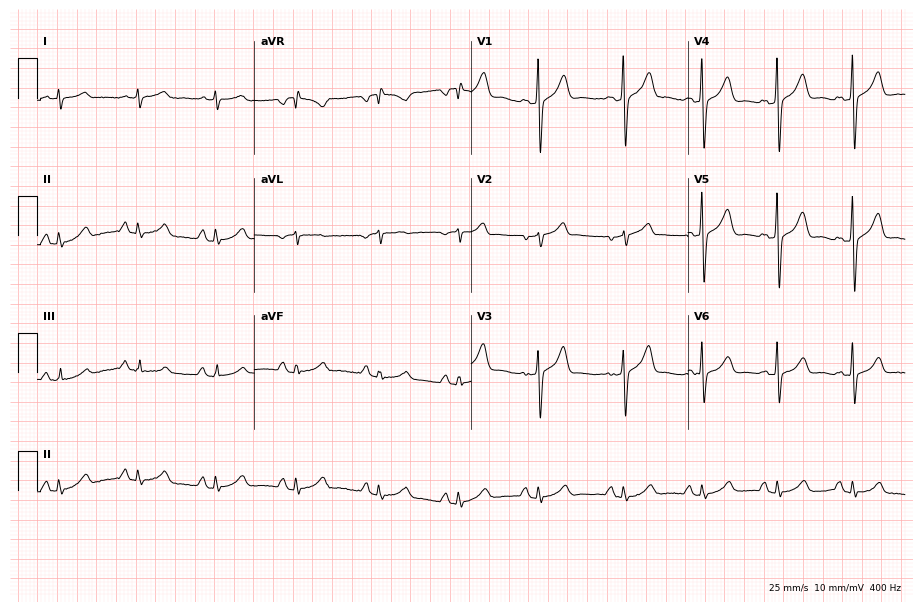
12-lead ECG (8.8-second recording at 400 Hz) from a 66-year-old male. Screened for six findings — first-degree AV block, right bundle branch block, left bundle branch block, sinus bradycardia, atrial fibrillation, sinus tachycardia — none is recorded. Only these six findings were labelled.